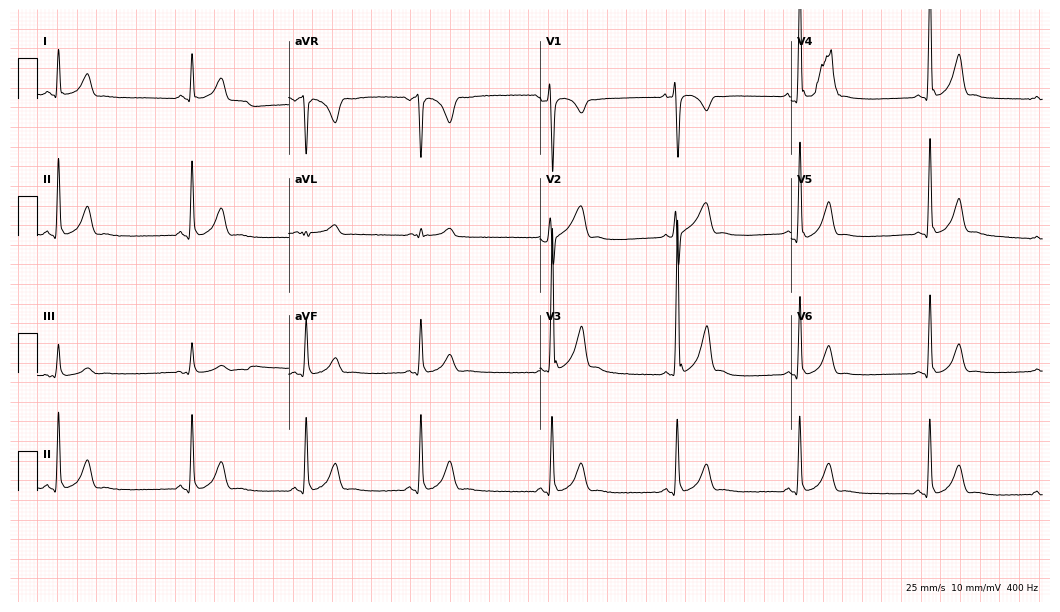
12-lead ECG from a 19-year-old male. Screened for six findings — first-degree AV block, right bundle branch block, left bundle branch block, sinus bradycardia, atrial fibrillation, sinus tachycardia — none is recorded. Findings outside these six are not listed.